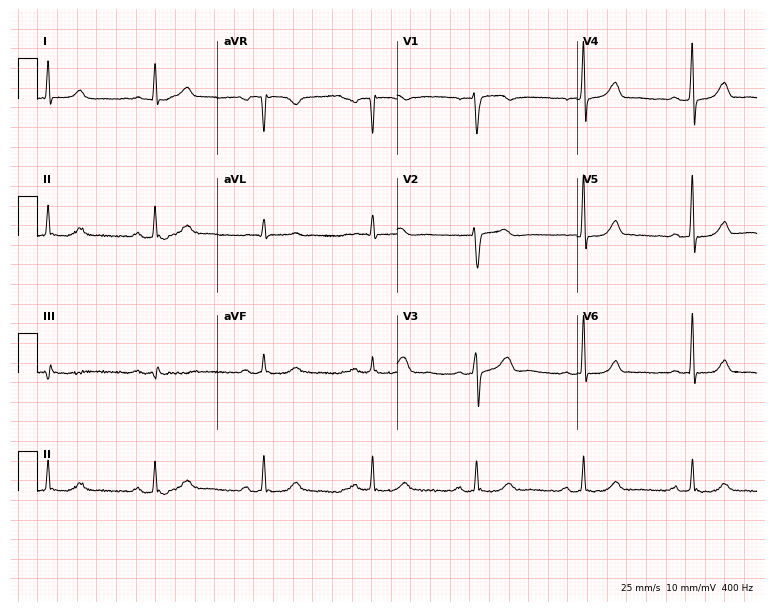
12-lead ECG from a 65-year-old man. Labelled as a normal ECG.